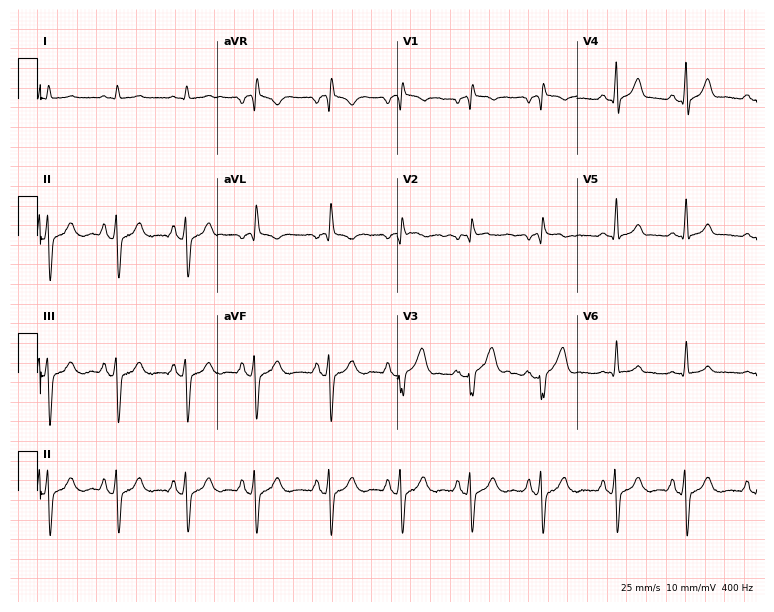
Resting 12-lead electrocardiogram (7.3-second recording at 400 Hz). Patient: an 81-year-old male. None of these six findings is recorded: first-degree AV block, right bundle branch block, left bundle branch block, sinus bradycardia, atrial fibrillation, sinus tachycardia.